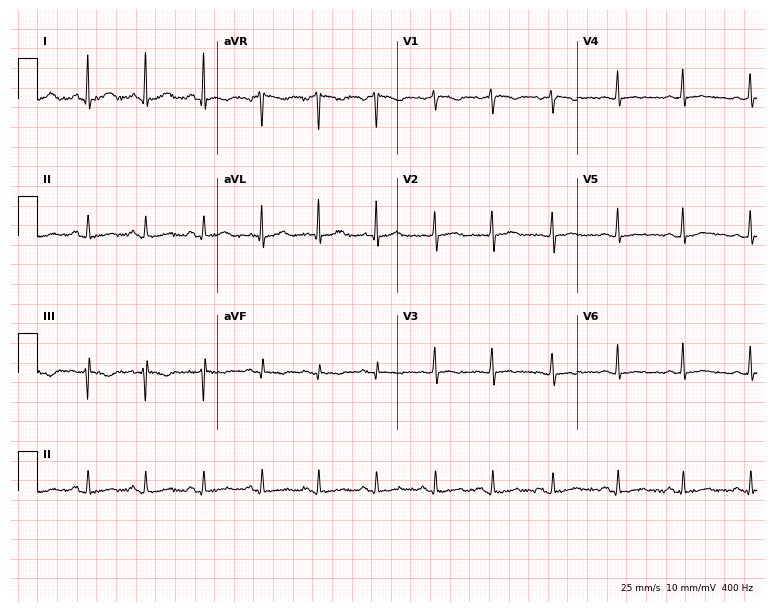
Electrocardiogram (7.3-second recording at 400 Hz), a 32-year-old female patient. Of the six screened findings (first-degree AV block, right bundle branch block (RBBB), left bundle branch block (LBBB), sinus bradycardia, atrial fibrillation (AF), sinus tachycardia), none is recorded.